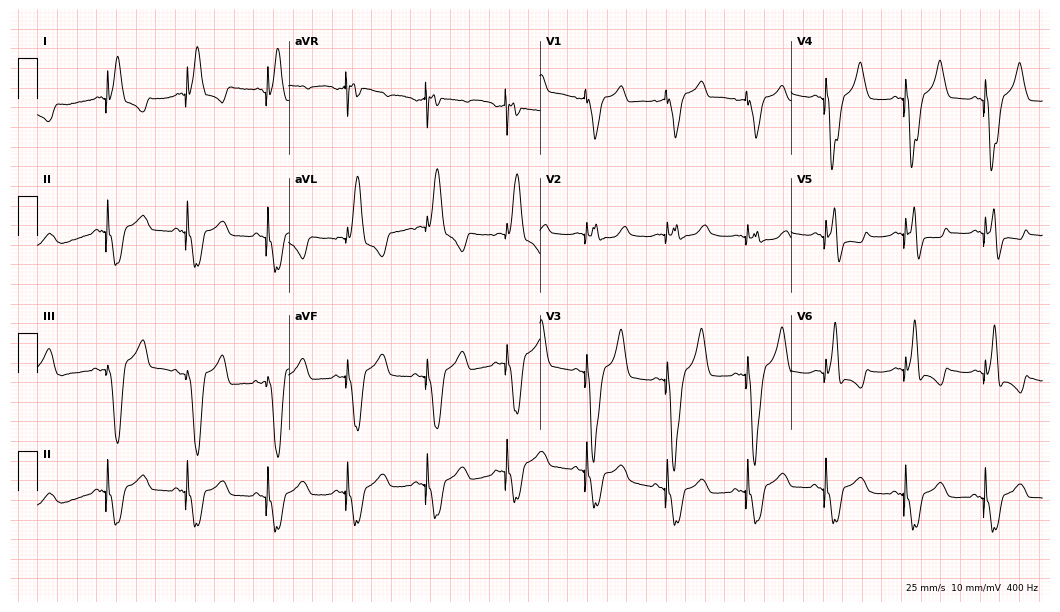
Resting 12-lead electrocardiogram. Patient: a female, 79 years old. None of these six findings is recorded: first-degree AV block, right bundle branch block, left bundle branch block, sinus bradycardia, atrial fibrillation, sinus tachycardia. Findings outside these six are not listed.